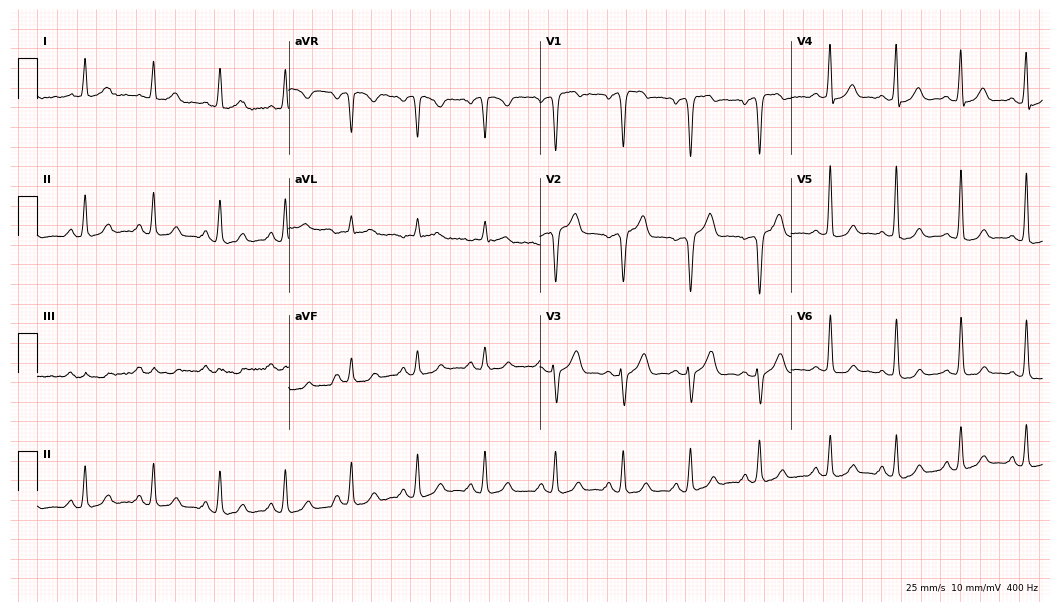
ECG (10.2-second recording at 400 Hz) — a 39-year-old man. Screened for six findings — first-degree AV block, right bundle branch block, left bundle branch block, sinus bradycardia, atrial fibrillation, sinus tachycardia — none is recorded. Findings outside these six are not listed.